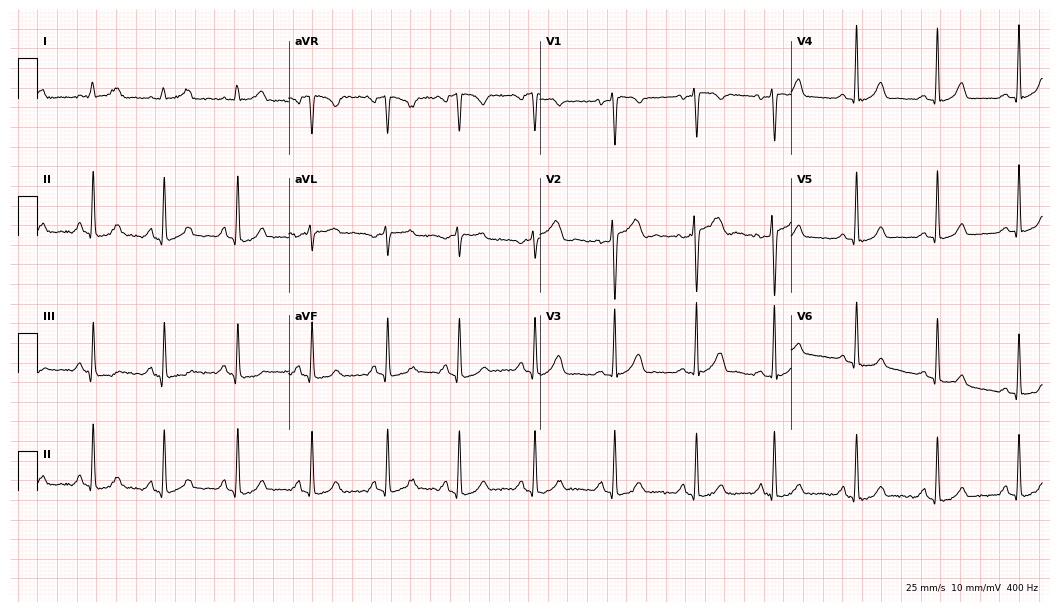
12-lead ECG from a female, 35 years old. Labelled as a normal ECG.